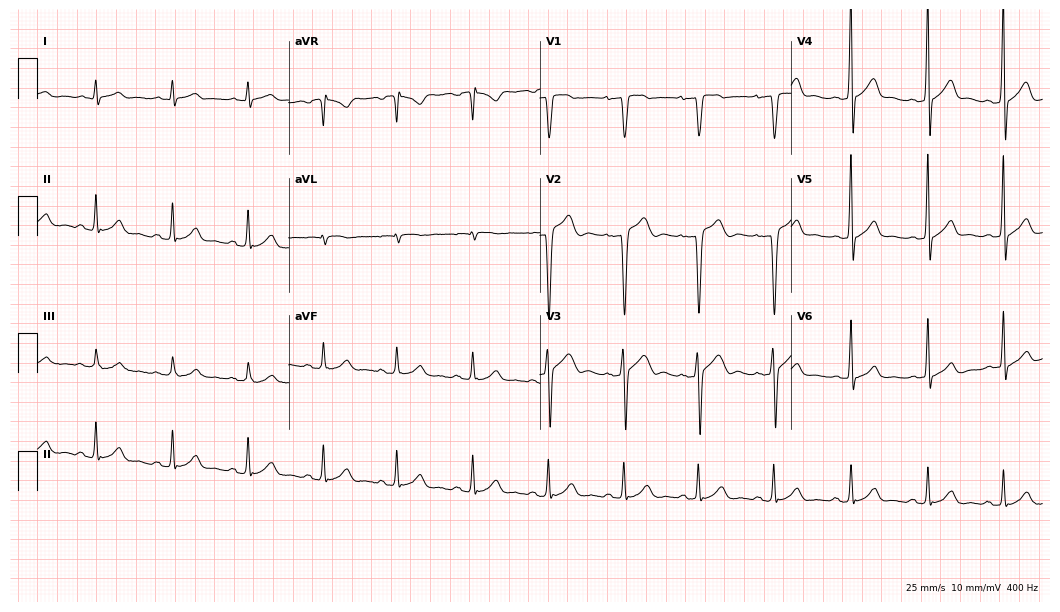
Resting 12-lead electrocardiogram. Patient: a male, 19 years old. None of these six findings is recorded: first-degree AV block, right bundle branch block, left bundle branch block, sinus bradycardia, atrial fibrillation, sinus tachycardia.